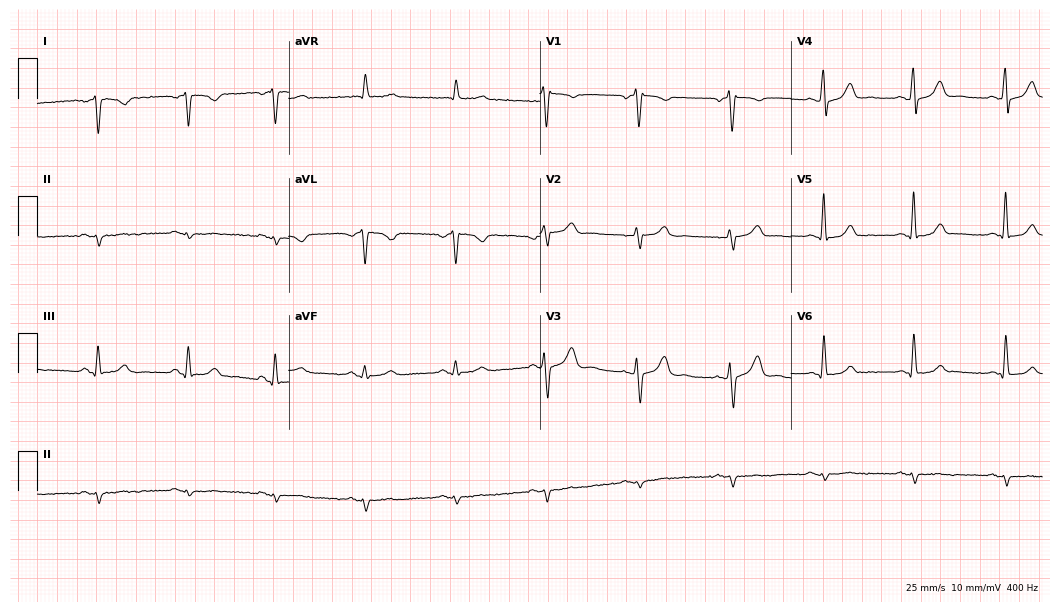
12-lead ECG from a male, 45 years old. Screened for six findings — first-degree AV block, right bundle branch block, left bundle branch block, sinus bradycardia, atrial fibrillation, sinus tachycardia — none is recorded. Other findings, if any, are not listed.